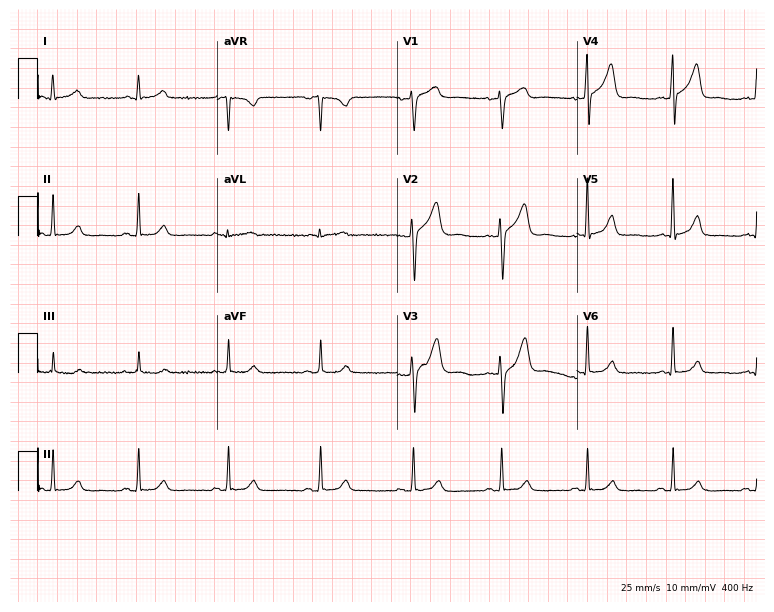
12-lead ECG from a 53-year-old man (7.3-second recording at 400 Hz). Recorded interpretation: within normal limits.